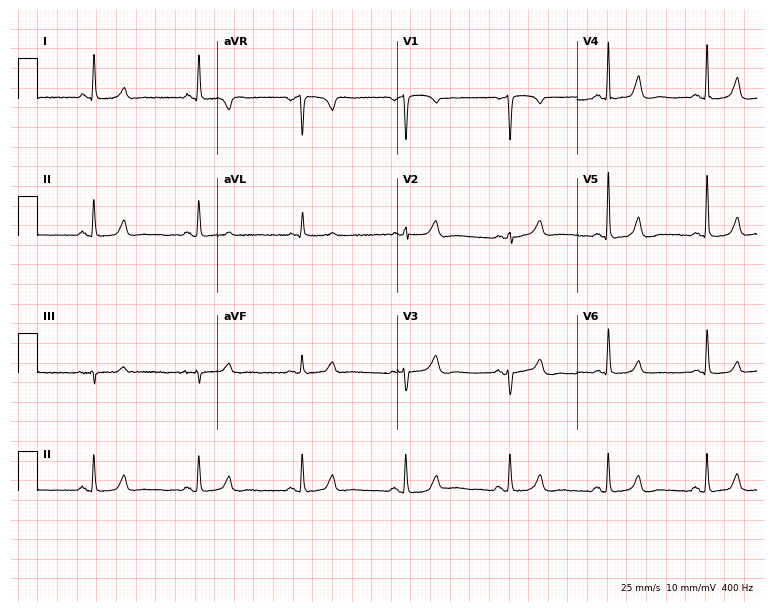
Resting 12-lead electrocardiogram (7.3-second recording at 400 Hz). Patient: an 85-year-old woman. Read as a normal ECG.